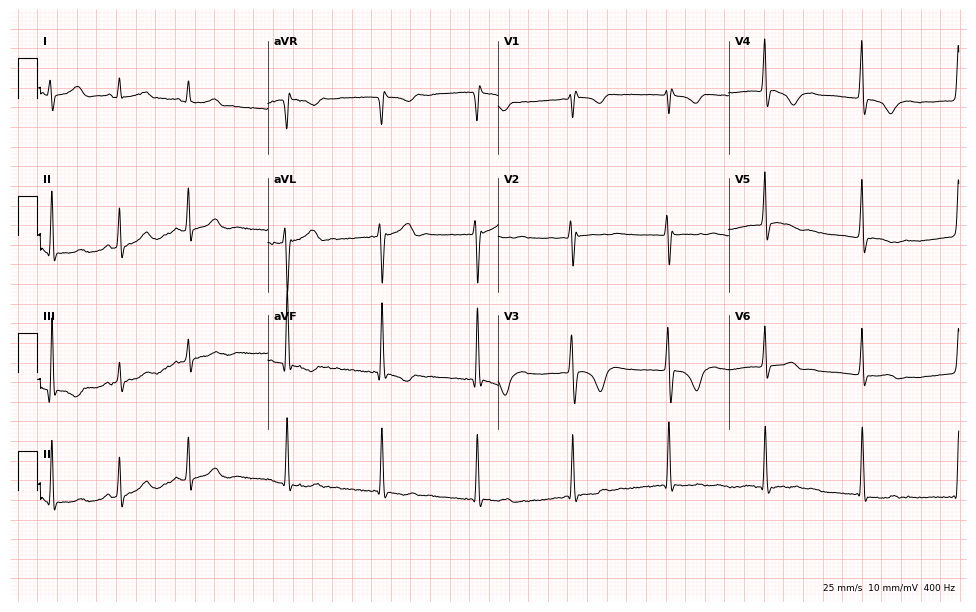
Standard 12-lead ECG recorded from a 17-year-old female. None of these six findings is recorded: first-degree AV block, right bundle branch block (RBBB), left bundle branch block (LBBB), sinus bradycardia, atrial fibrillation (AF), sinus tachycardia. Other findings, if any, are not listed.